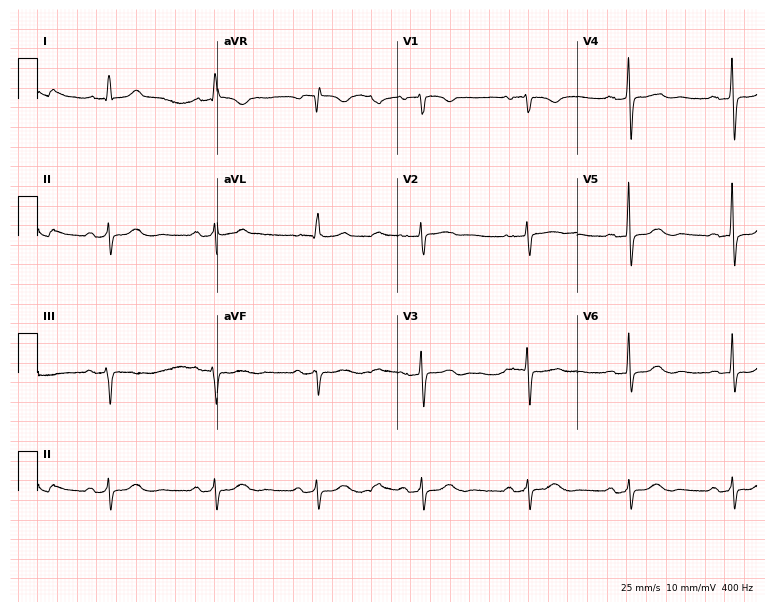
Resting 12-lead electrocardiogram. Patient: a woman, 67 years old. None of these six findings is recorded: first-degree AV block, right bundle branch block (RBBB), left bundle branch block (LBBB), sinus bradycardia, atrial fibrillation (AF), sinus tachycardia.